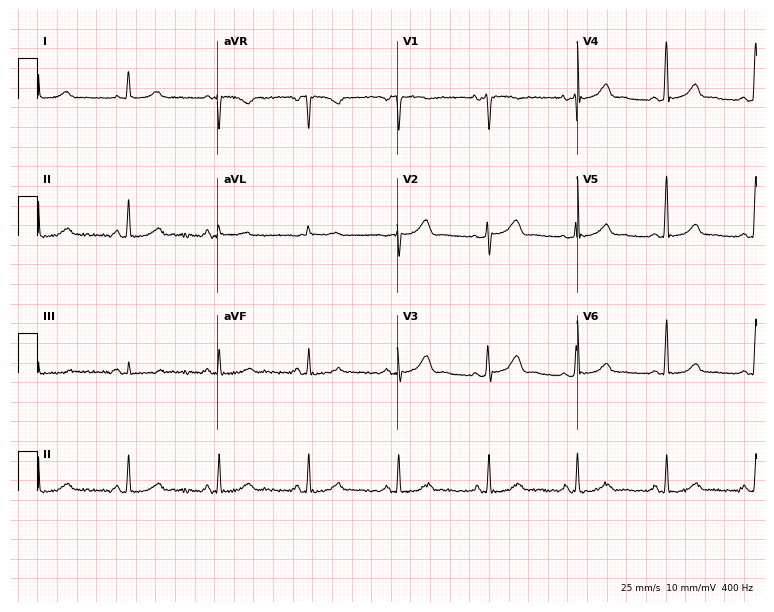
Electrocardiogram (7.3-second recording at 400 Hz), a 50-year-old female. Overall reading on record: normal ECG.